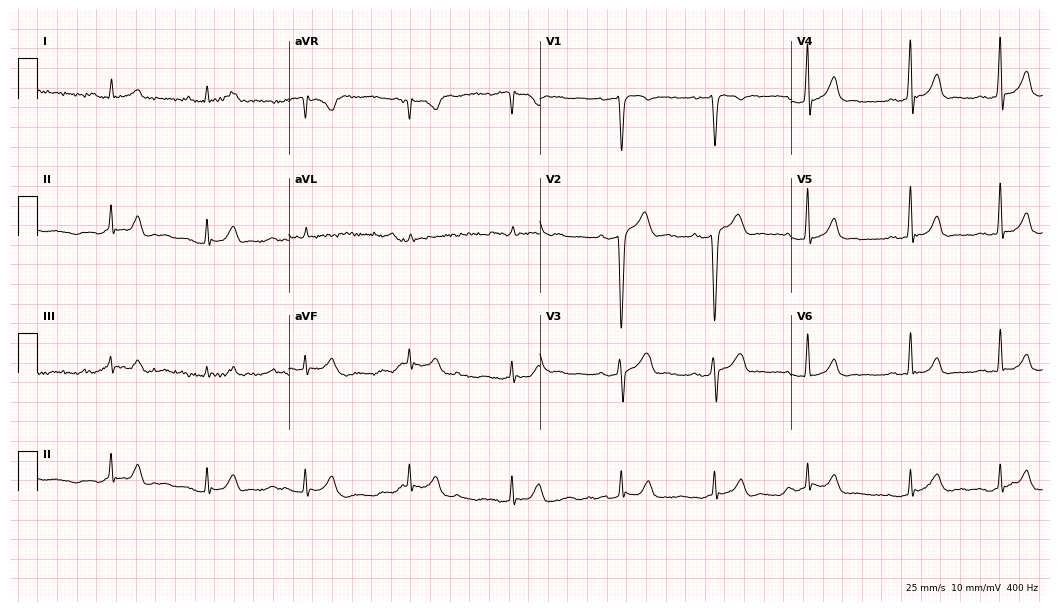
Electrocardiogram, a male, 21 years old. Overall reading on record: normal ECG.